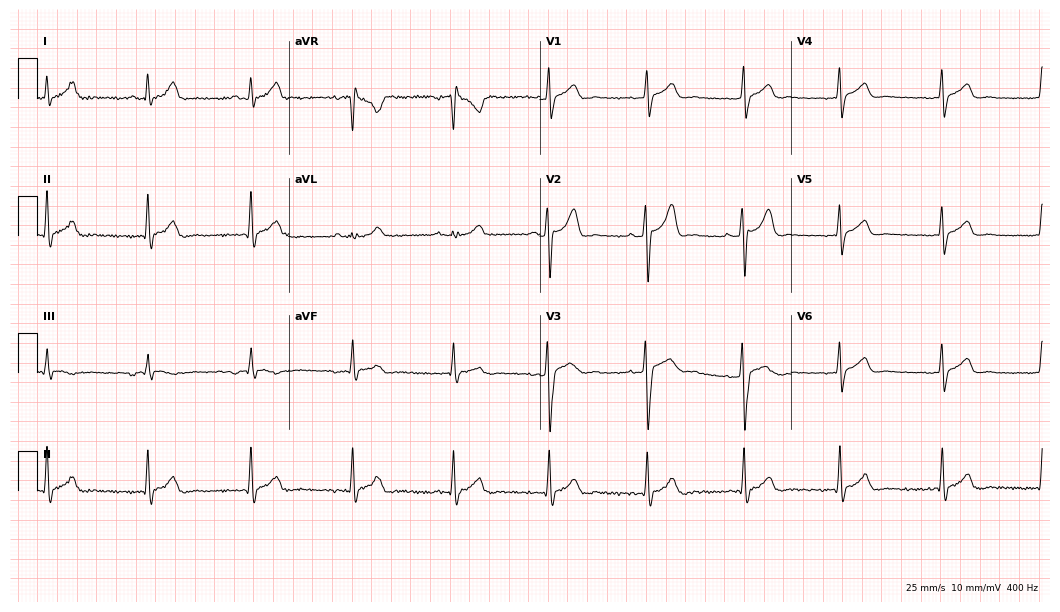
ECG — a male patient, 31 years old. Screened for six findings — first-degree AV block, right bundle branch block (RBBB), left bundle branch block (LBBB), sinus bradycardia, atrial fibrillation (AF), sinus tachycardia — none is recorded.